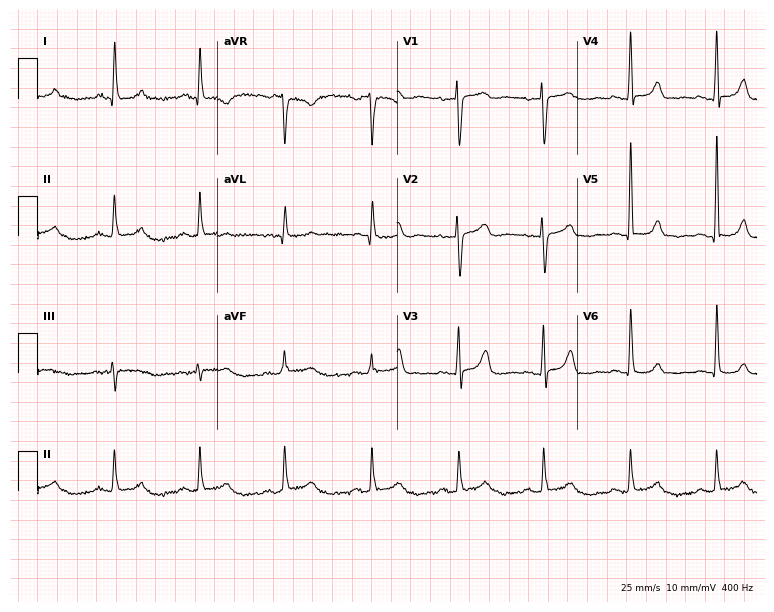
Electrocardiogram, a female patient, 66 years old. Overall reading on record: normal ECG.